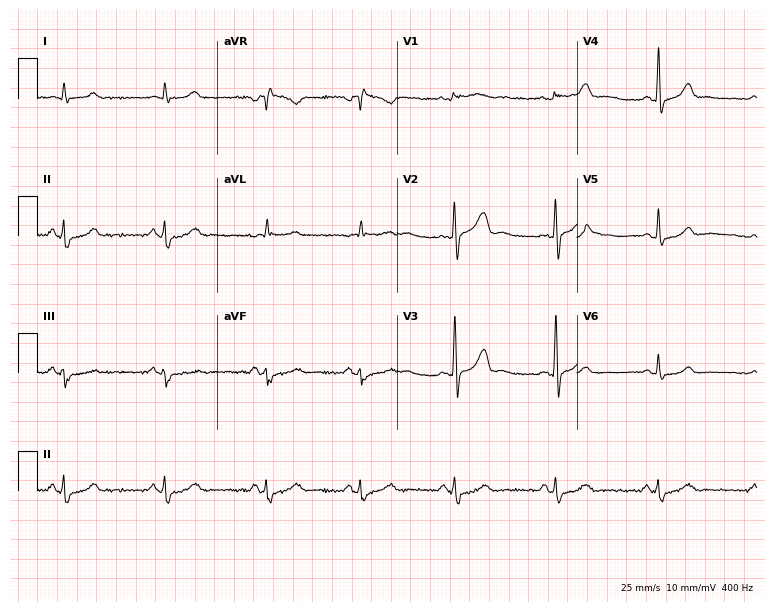
12-lead ECG from a female patient, 36 years old. No first-degree AV block, right bundle branch block, left bundle branch block, sinus bradycardia, atrial fibrillation or sinus tachycardia recorded for this tracing.